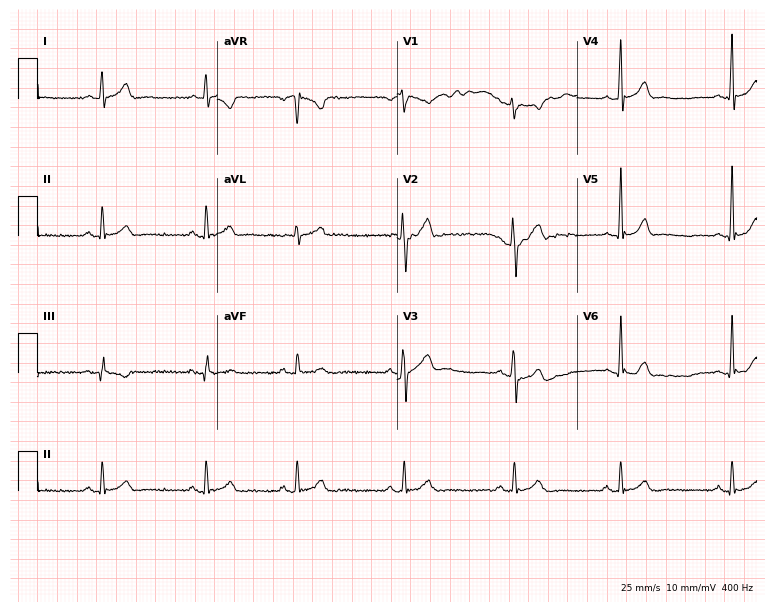
12-lead ECG from a male, 33 years old. Labelled as a normal ECG.